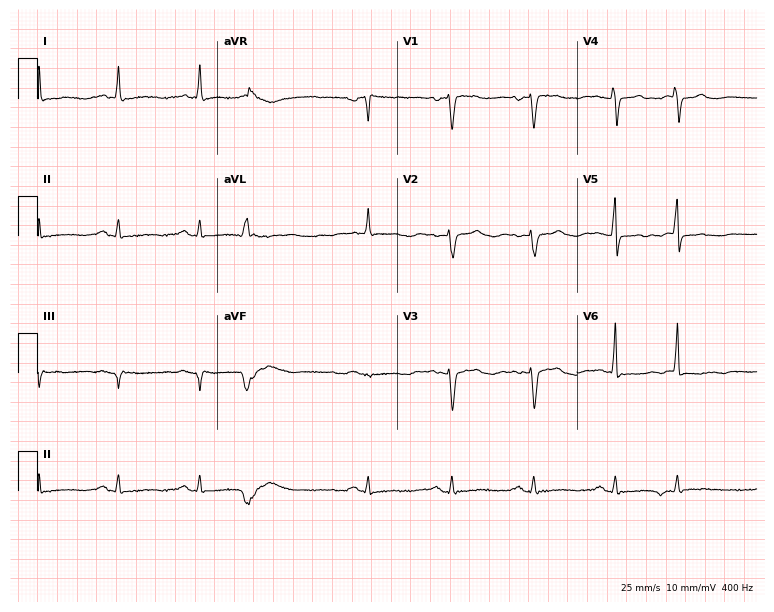
Electrocardiogram (7.3-second recording at 400 Hz), a 65-year-old woman. Of the six screened findings (first-degree AV block, right bundle branch block, left bundle branch block, sinus bradycardia, atrial fibrillation, sinus tachycardia), none is recorded. Only these six findings were labelled.